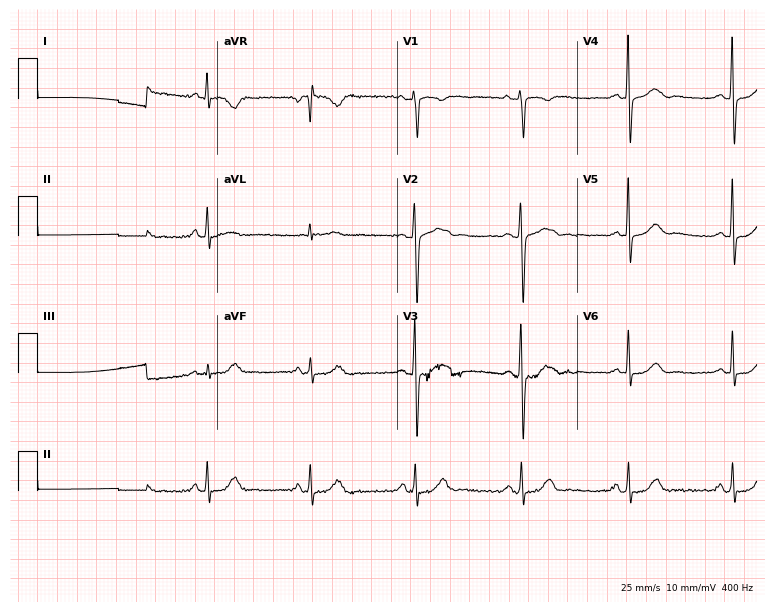
ECG — a 49-year-old male patient. Labelled as a normal ECG.